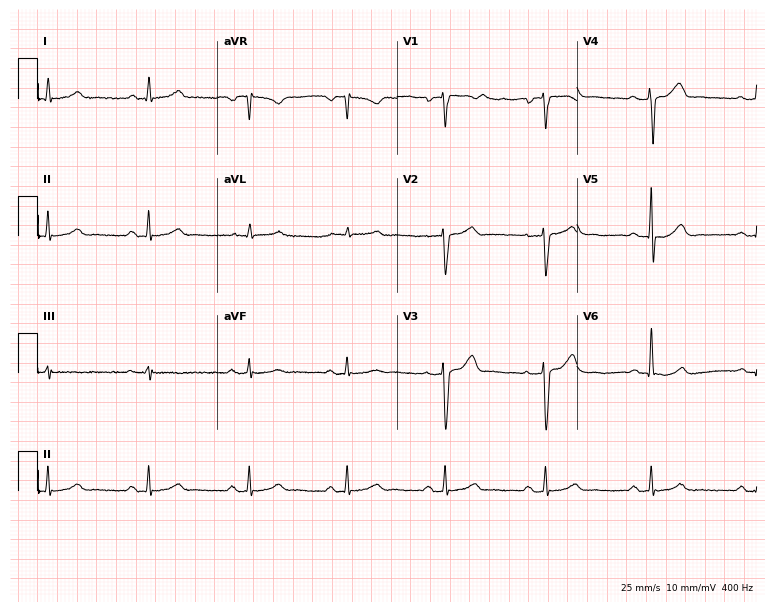
Resting 12-lead electrocardiogram (7.3-second recording at 400 Hz). Patient: a 36-year-old male. None of these six findings is recorded: first-degree AV block, right bundle branch block, left bundle branch block, sinus bradycardia, atrial fibrillation, sinus tachycardia.